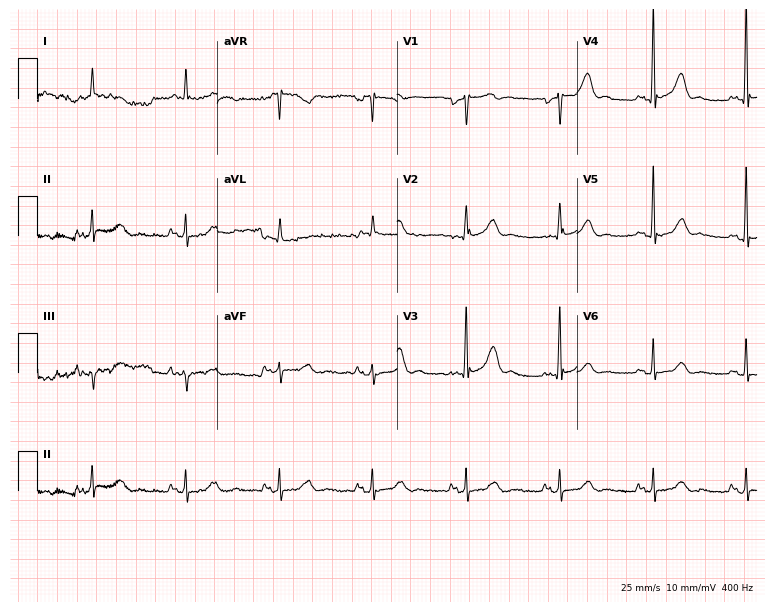
12-lead ECG (7.3-second recording at 400 Hz) from an 85-year-old male patient. Screened for six findings — first-degree AV block, right bundle branch block, left bundle branch block, sinus bradycardia, atrial fibrillation, sinus tachycardia — none is recorded.